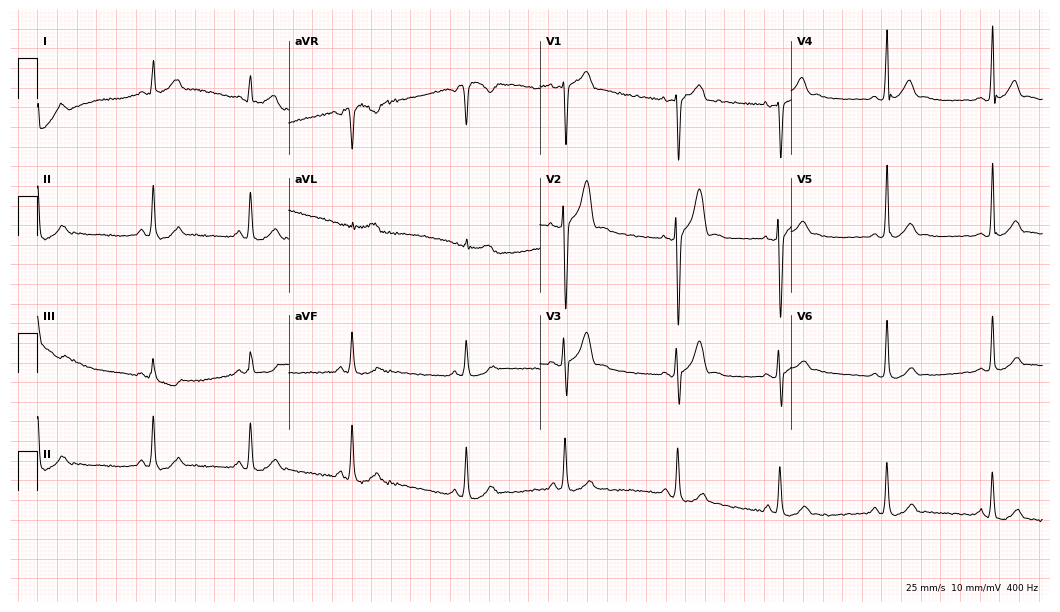
12-lead ECG (10.2-second recording at 400 Hz) from a 19-year-old male. Labelled as a normal ECG.